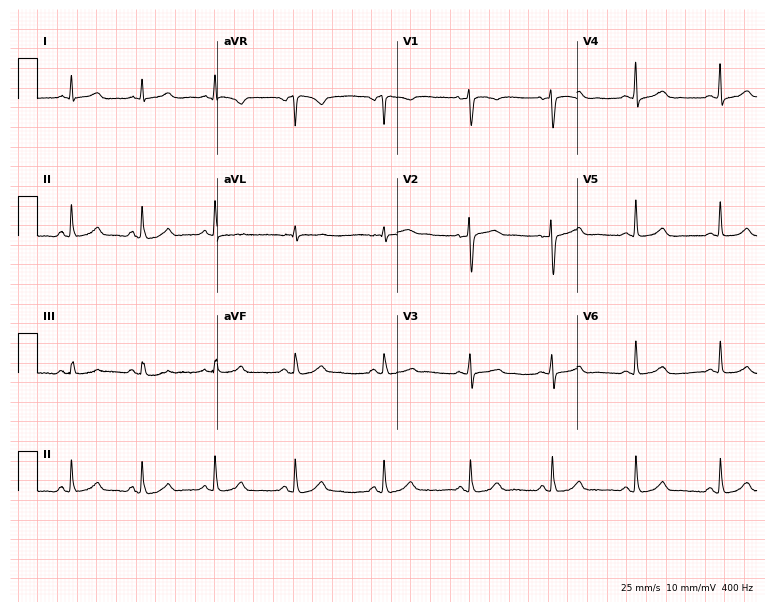
Electrocardiogram, a woman, 41 years old. Overall reading on record: normal ECG.